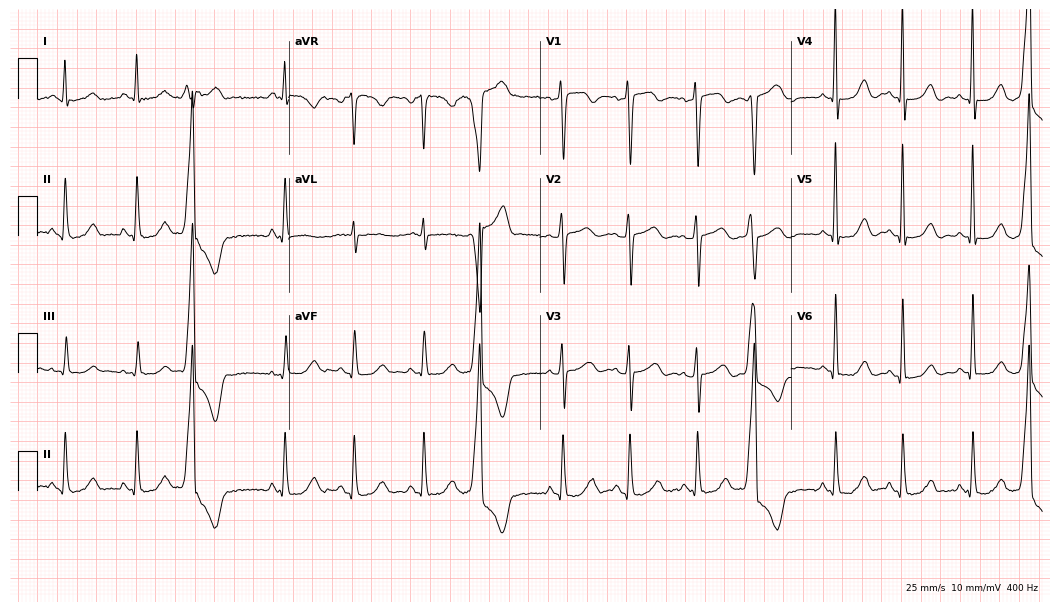
12-lead ECG (10.2-second recording at 400 Hz) from a 50-year-old female. Screened for six findings — first-degree AV block, right bundle branch block, left bundle branch block, sinus bradycardia, atrial fibrillation, sinus tachycardia — none is recorded.